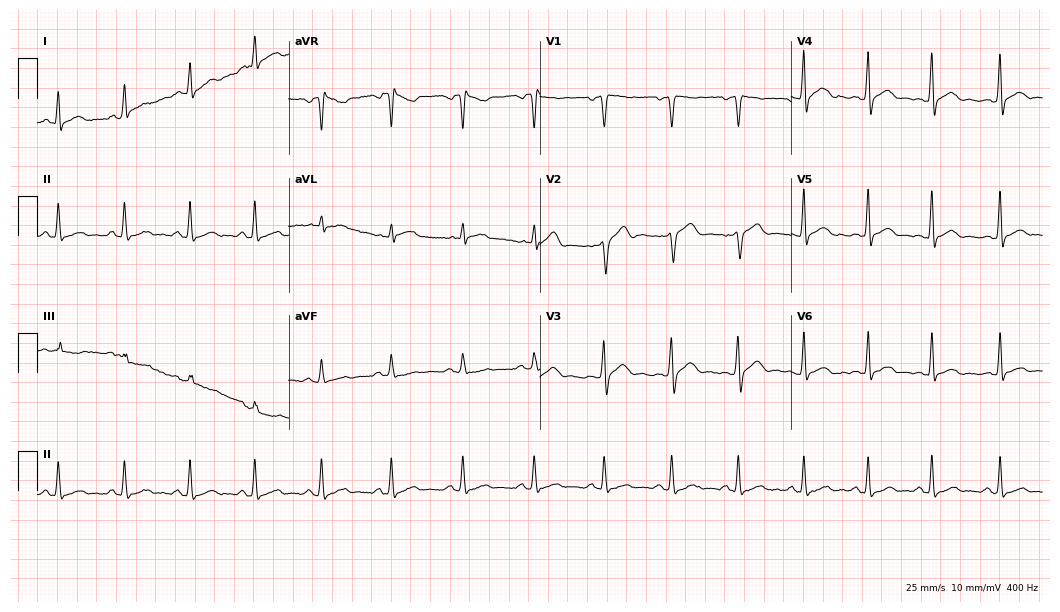
ECG (10.2-second recording at 400 Hz) — a man, 24 years old. Labelled as a normal ECG.